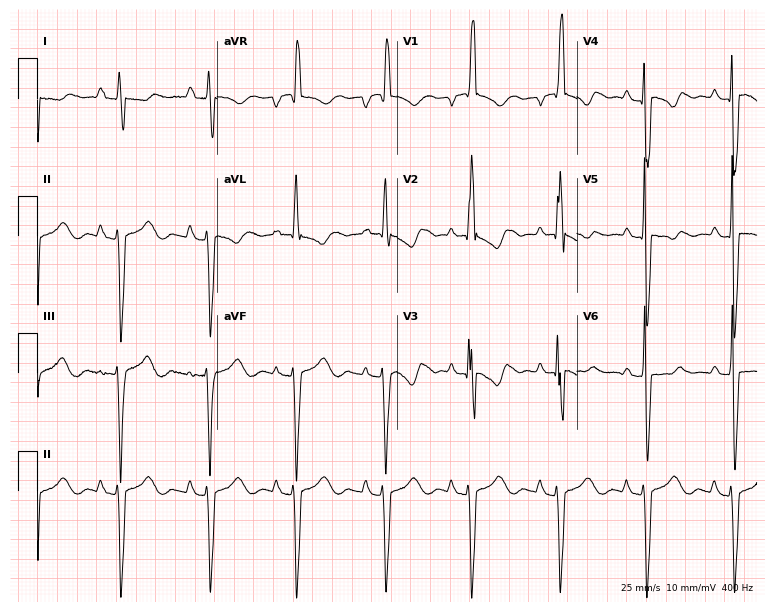
Electrocardiogram, a female patient, 21 years old. Of the six screened findings (first-degree AV block, right bundle branch block (RBBB), left bundle branch block (LBBB), sinus bradycardia, atrial fibrillation (AF), sinus tachycardia), none is recorded.